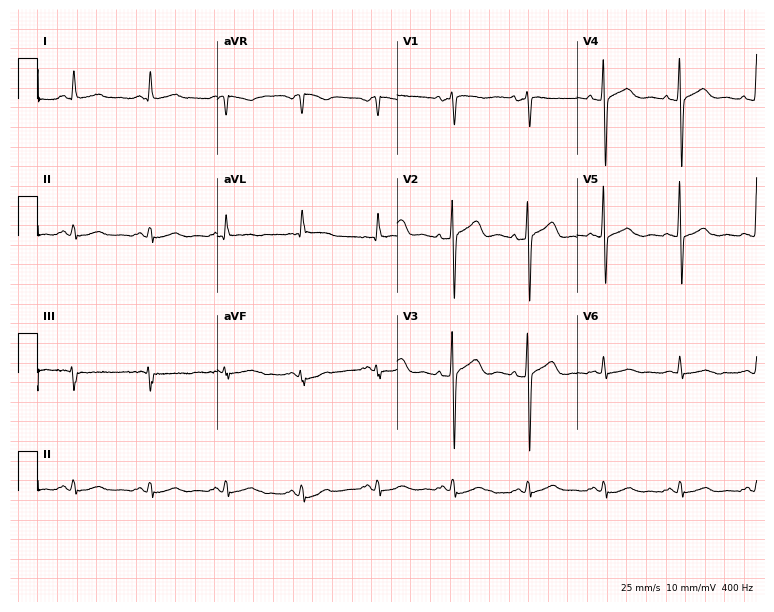
Standard 12-lead ECG recorded from a 56-year-old woman. None of these six findings is recorded: first-degree AV block, right bundle branch block, left bundle branch block, sinus bradycardia, atrial fibrillation, sinus tachycardia. Other findings, if any, are not listed.